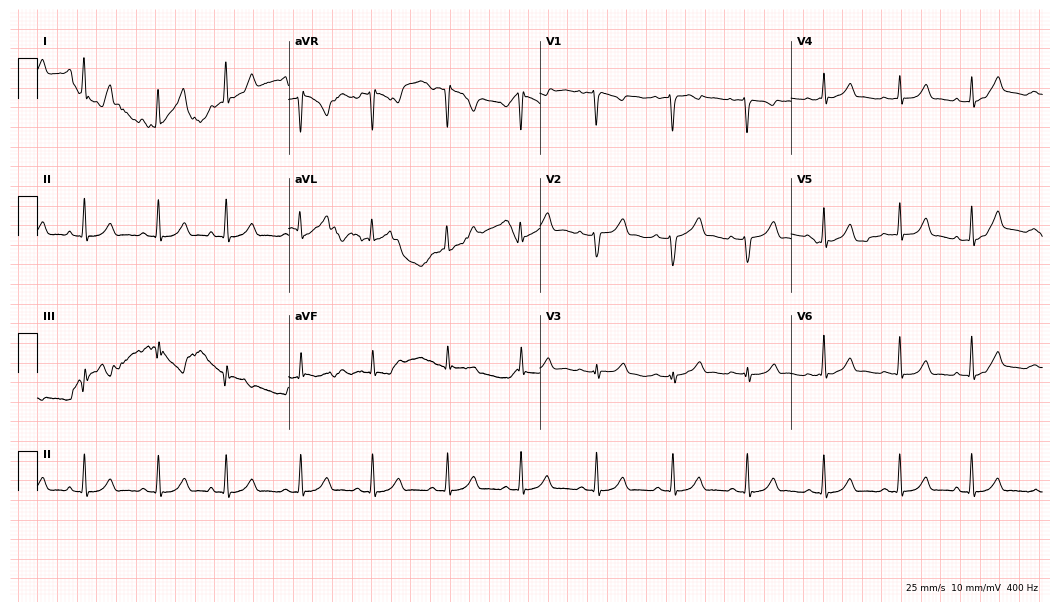
ECG — a 20-year-old woman. Screened for six findings — first-degree AV block, right bundle branch block (RBBB), left bundle branch block (LBBB), sinus bradycardia, atrial fibrillation (AF), sinus tachycardia — none is recorded. Findings outside these six are not listed.